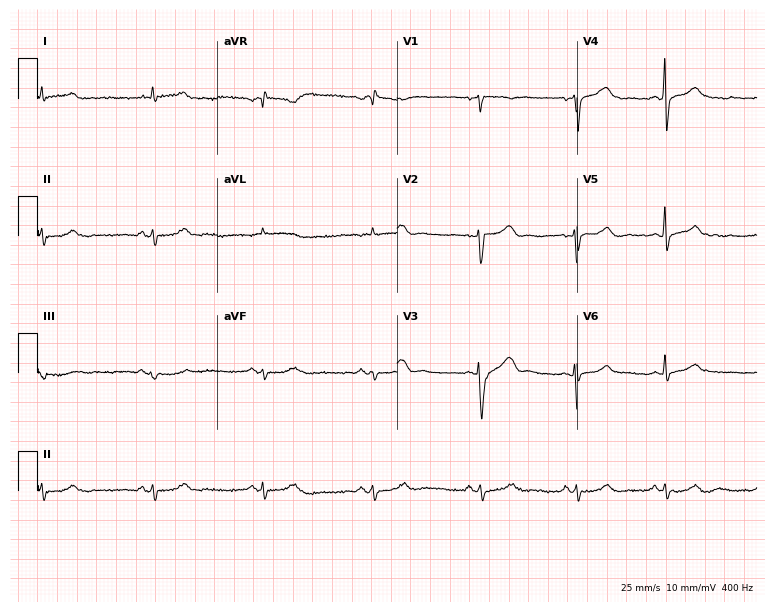
ECG — a woman, 59 years old. Screened for six findings — first-degree AV block, right bundle branch block (RBBB), left bundle branch block (LBBB), sinus bradycardia, atrial fibrillation (AF), sinus tachycardia — none is recorded. Only these six findings were labelled.